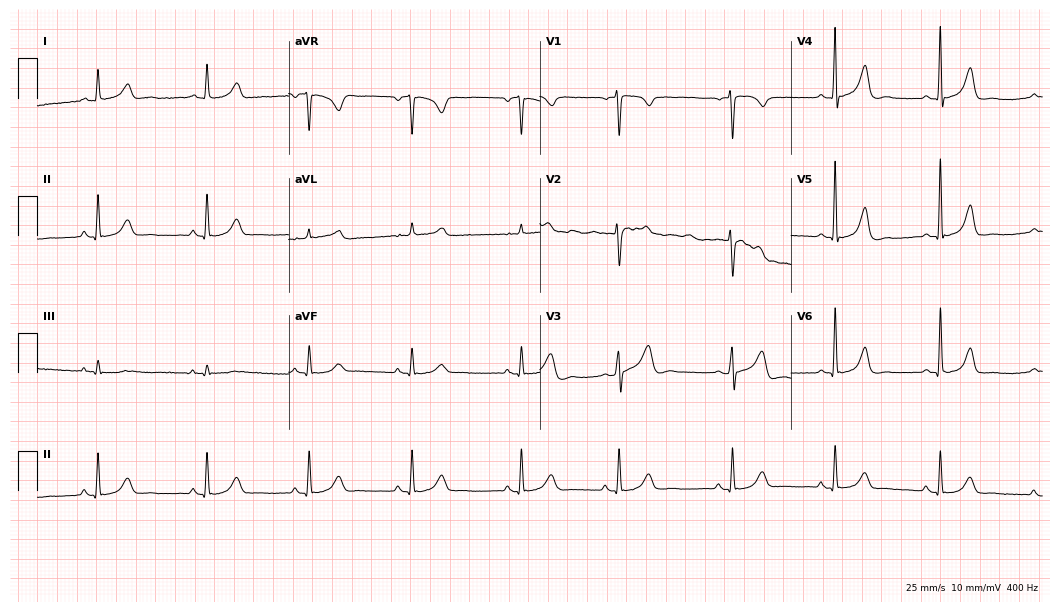
12-lead ECG from a 47-year-old female patient. Recorded interpretation: within normal limits.